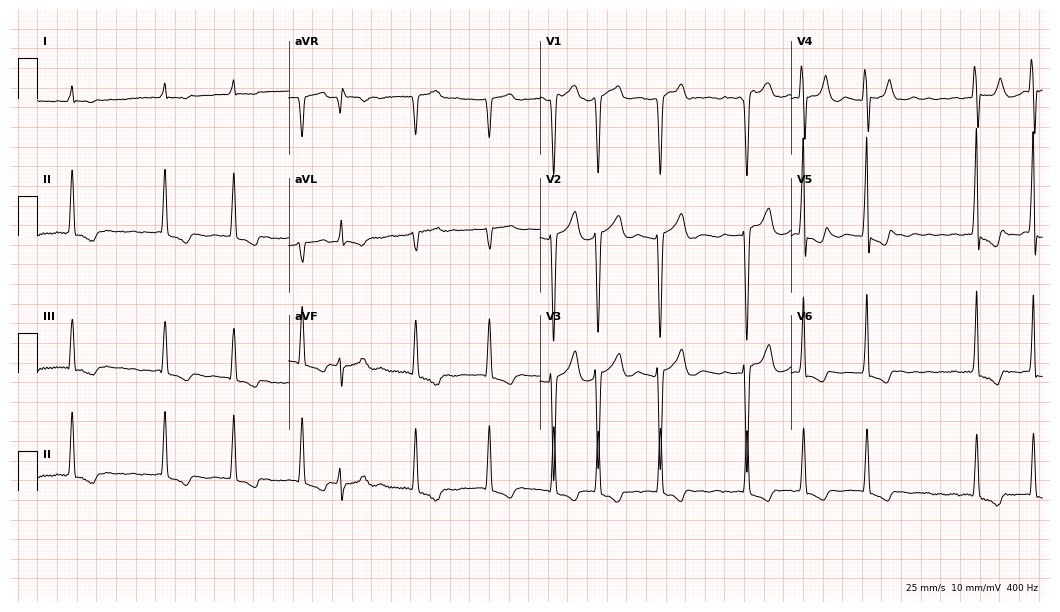
Electrocardiogram, an 80-year-old man. Interpretation includes atrial fibrillation.